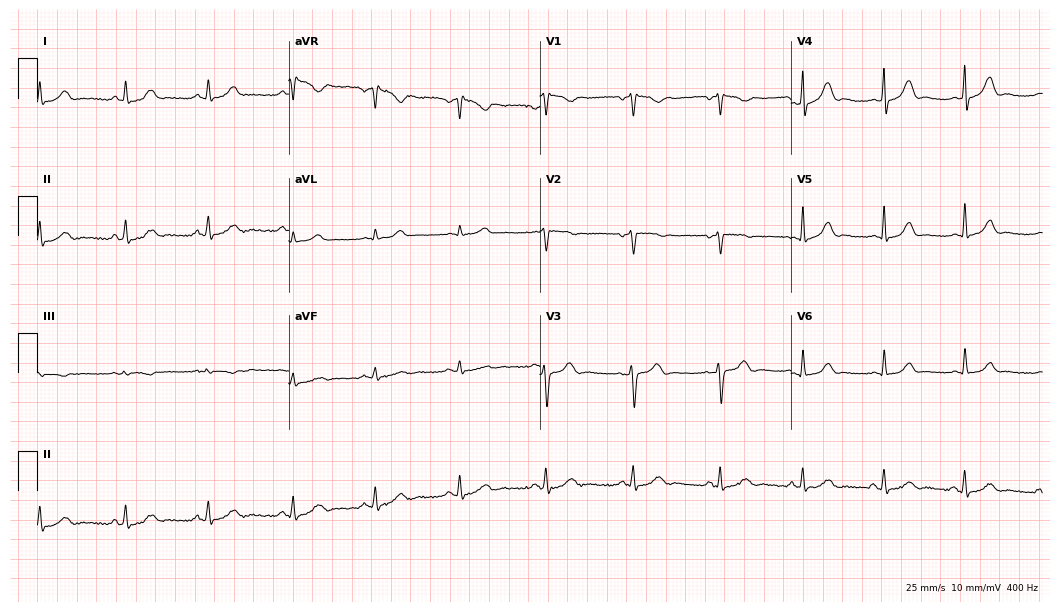
12-lead ECG from a 32-year-old woman. Recorded interpretation: within normal limits.